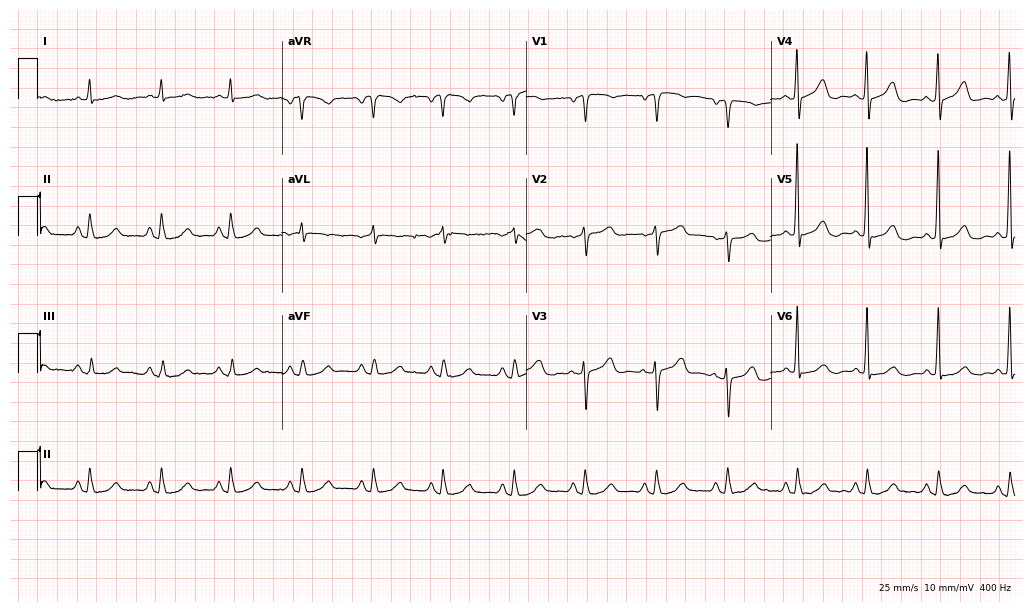
ECG — a 75-year-old female. Screened for six findings — first-degree AV block, right bundle branch block (RBBB), left bundle branch block (LBBB), sinus bradycardia, atrial fibrillation (AF), sinus tachycardia — none is recorded.